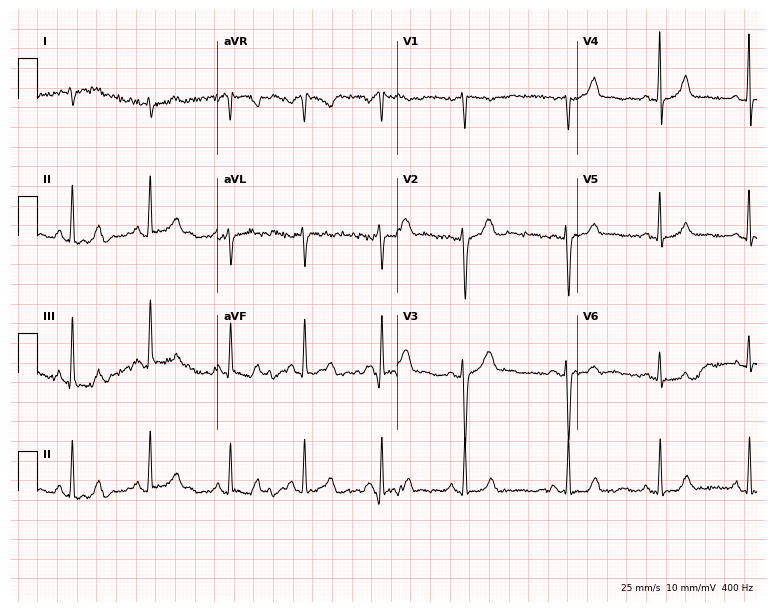
Resting 12-lead electrocardiogram (7.3-second recording at 400 Hz). Patient: a female, 22 years old. None of these six findings is recorded: first-degree AV block, right bundle branch block (RBBB), left bundle branch block (LBBB), sinus bradycardia, atrial fibrillation (AF), sinus tachycardia. Other findings, if any, are not listed.